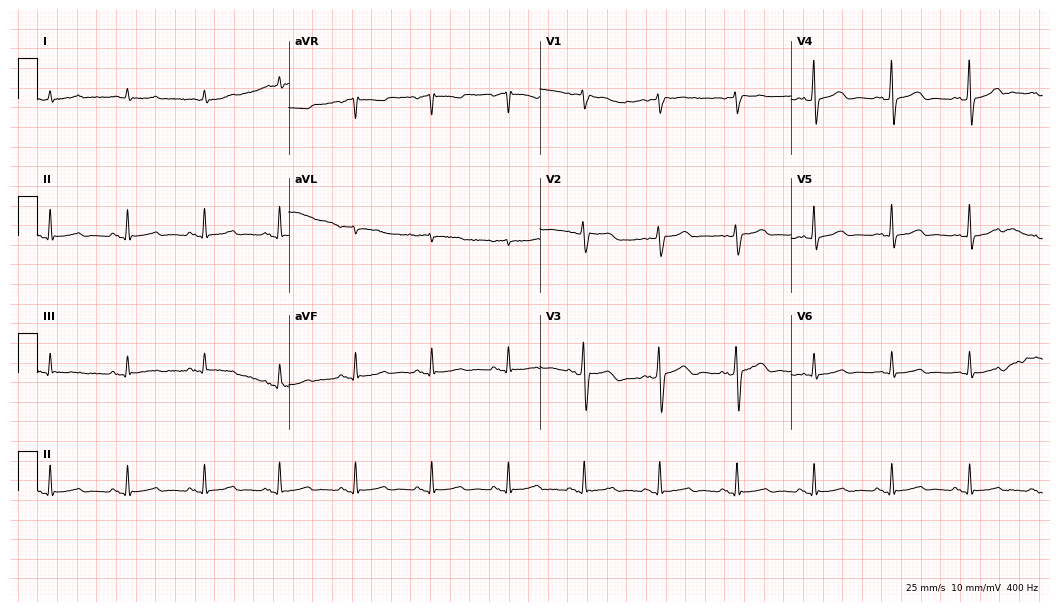
ECG — an 85-year-old male patient. Screened for six findings — first-degree AV block, right bundle branch block, left bundle branch block, sinus bradycardia, atrial fibrillation, sinus tachycardia — none is recorded.